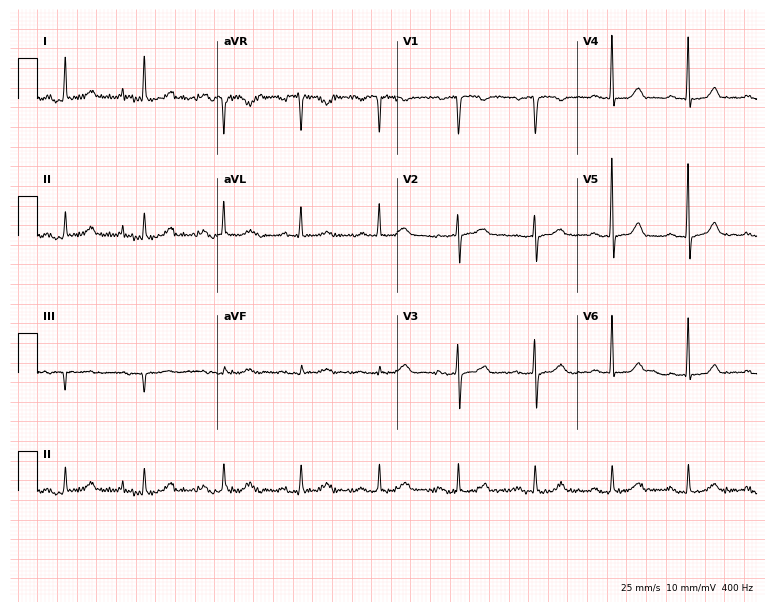
Standard 12-lead ECG recorded from a woman, 56 years old. None of these six findings is recorded: first-degree AV block, right bundle branch block (RBBB), left bundle branch block (LBBB), sinus bradycardia, atrial fibrillation (AF), sinus tachycardia. Findings outside these six are not listed.